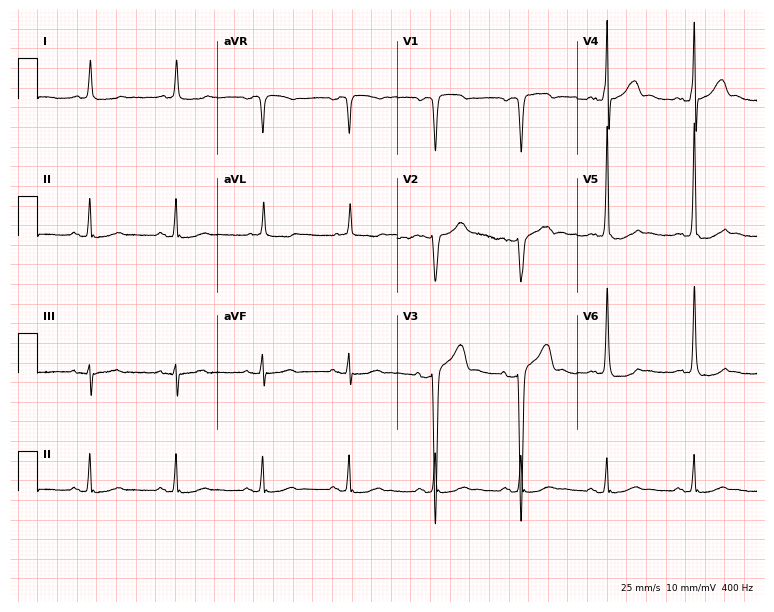
Electrocardiogram, a 62-year-old male. Of the six screened findings (first-degree AV block, right bundle branch block, left bundle branch block, sinus bradycardia, atrial fibrillation, sinus tachycardia), none is recorded. Other findings, if any, are not listed.